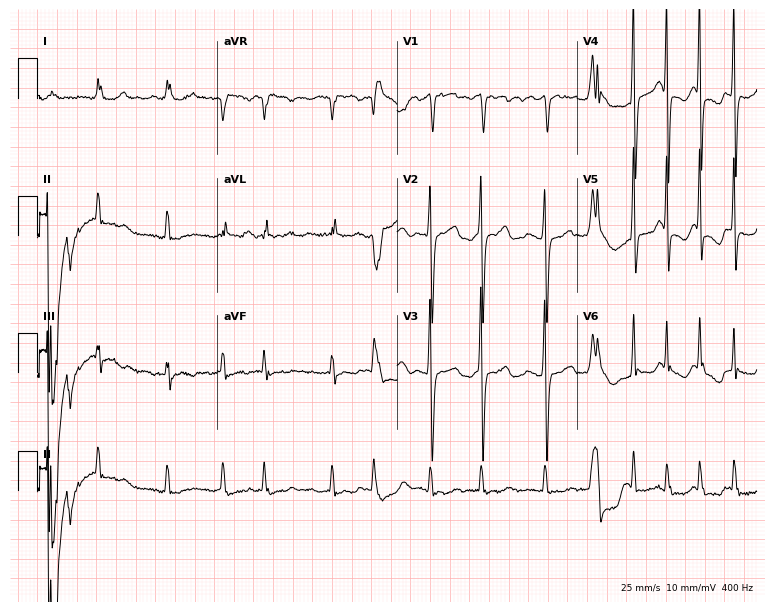
Standard 12-lead ECG recorded from a 74-year-old female. None of these six findings is recorded: first-degree AV block, right bundle branch block, left bundle branch block, sinus bradycardia, atrial fibrillation, sinus tachycardia.